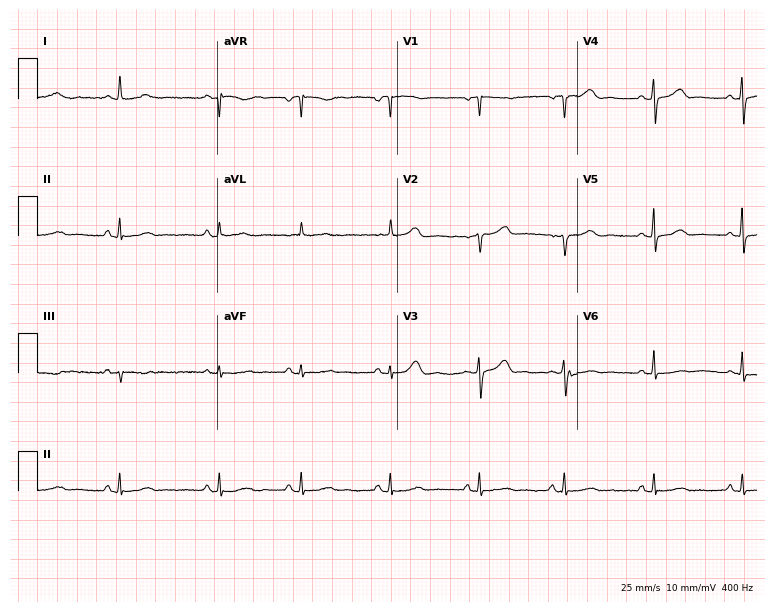
Electrocardiogram, a female, 54 years old. Of the six screened findings (first-degree AV block, right bundle branch block (RBBB), left bundle branch block (LBBB), sinus bradycardia, atrial fibrillation (AF), sinus tachycardia), none is recorded. Other findings, if any, are not listed.